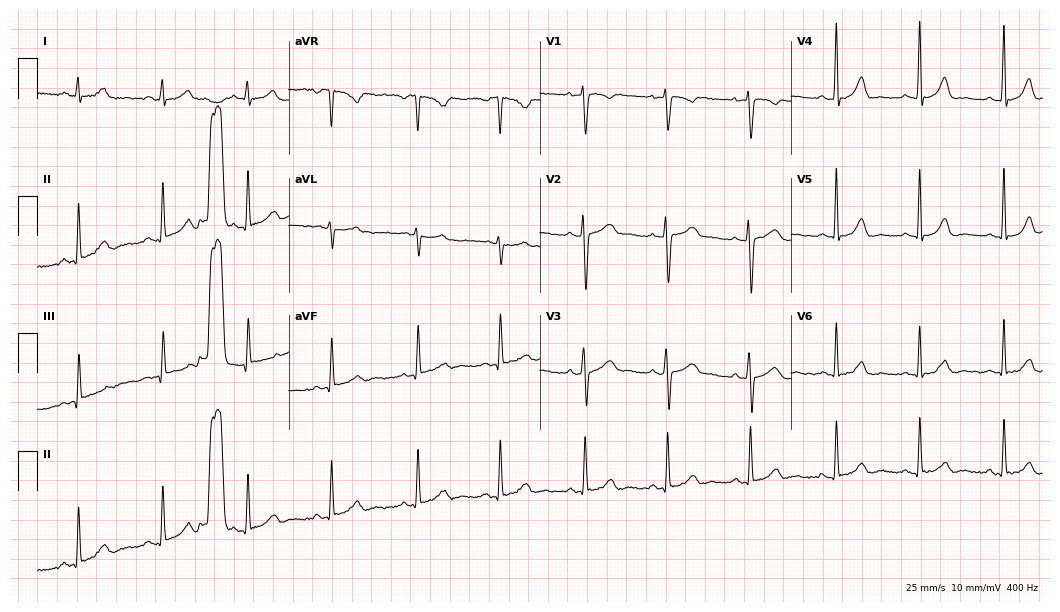
12-lead ECG (10.2-second recording at 400 Hz) from a female patient, 29 years old. Labelled as a normal ECG.